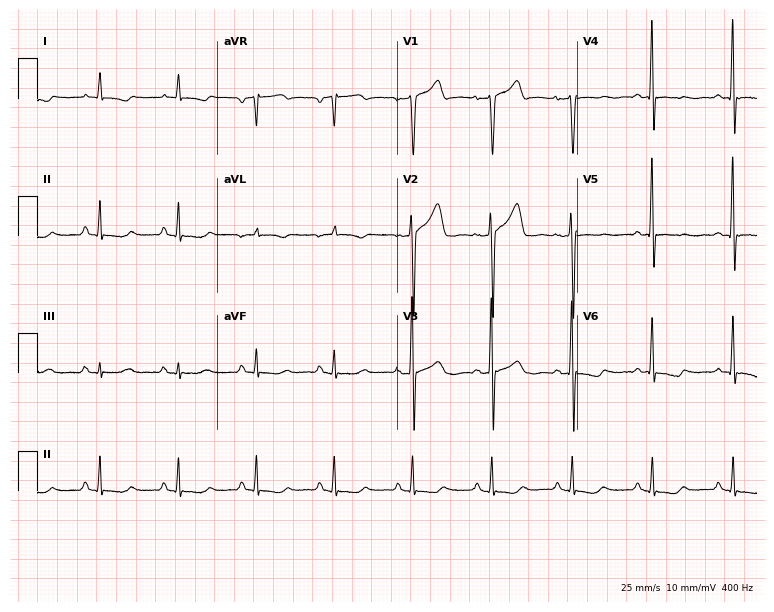
ECG (7.3-second recording at 400 Hz) — a man, 54 years old. Screened for six findings — first-degree AV block, right bundle branch block, left bundle branch block, sinus bradycardia, atrial fibrillation, sinus tachycardia — none is recorded.